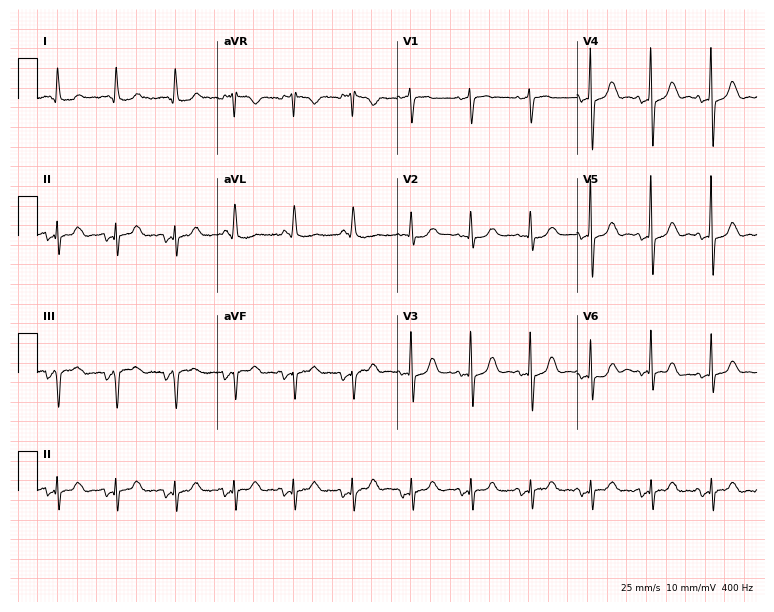
Standard 12-lead ECG recorded from a woman, 76 years old. None of these six findings is recorded: first-degree AV block, right bundle branch block (RBBB), left bundle branch block (LBBB), sinus bradycardia, atrial fibrillation (AF), sinus tachycardia. Only these six findings were labelled.